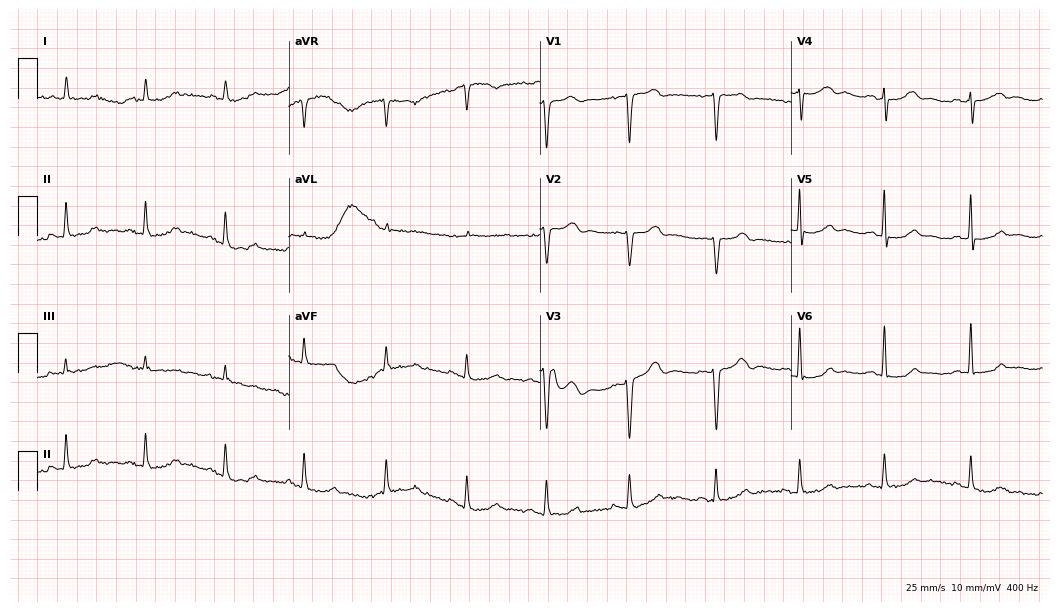
Resting 12-lead electrocardiogram. Patient: a female, 73 years old. Read as a normal ECG.